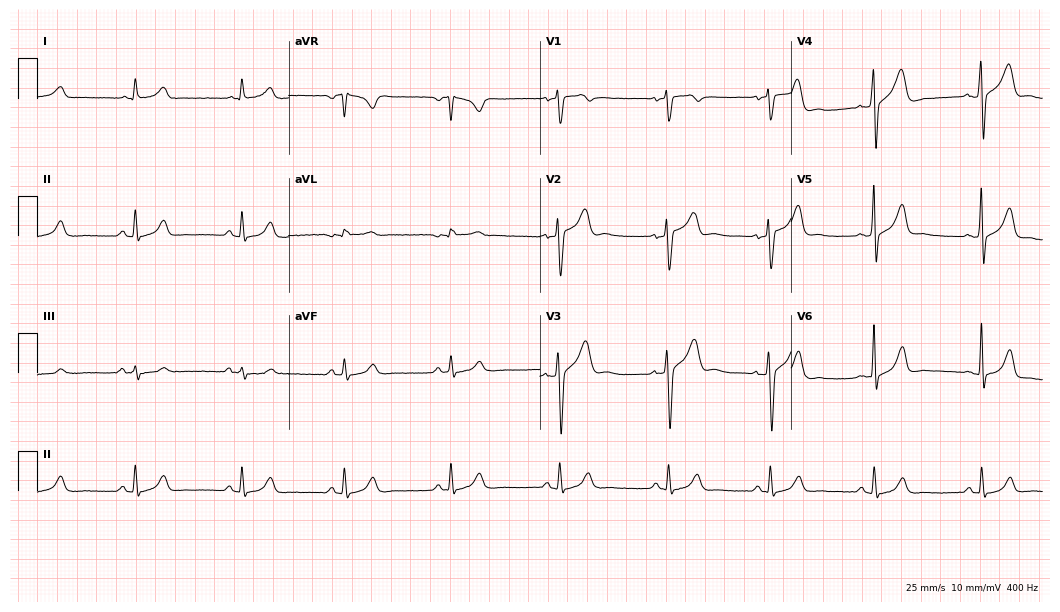
Resting 12-lead electrocardiogram (10.2-second recording at 400 Hz). Patient: a man, 32 years old. Read as a normal ECG.